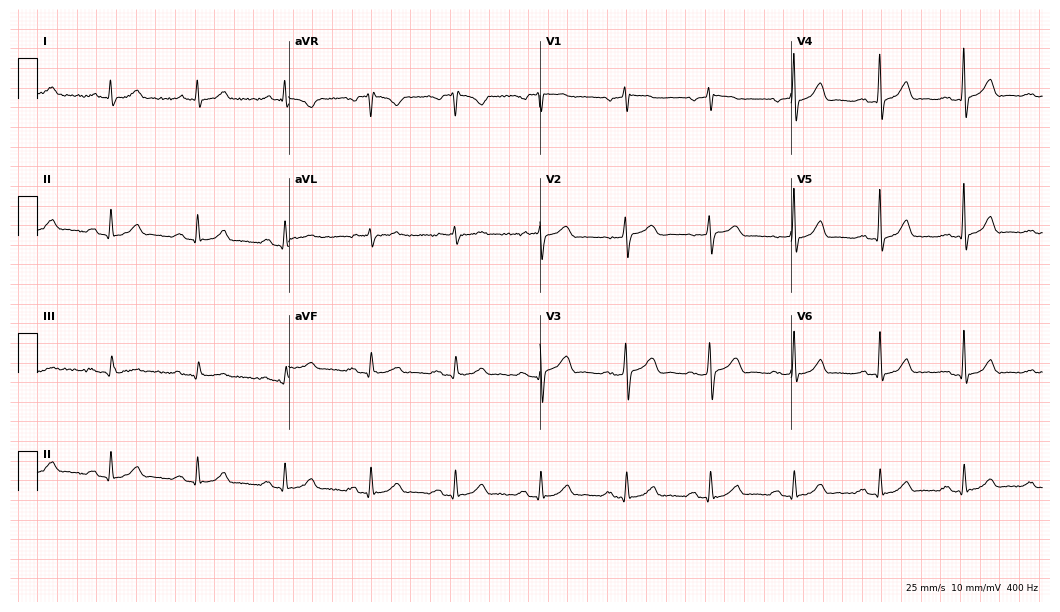
12-lead ECG (10.2-second recording at 400 Hz) from a 78-year-old male. Labelled as a normal ECG.